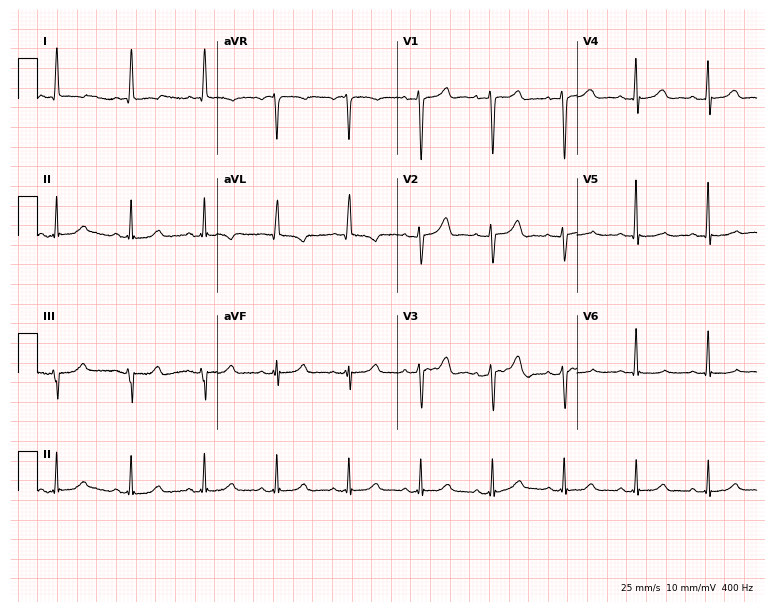
Standard 12-lead ECG recorded from a 64-year-old female (7.3-second recording at 400 Hz). Read as a normal ECG.